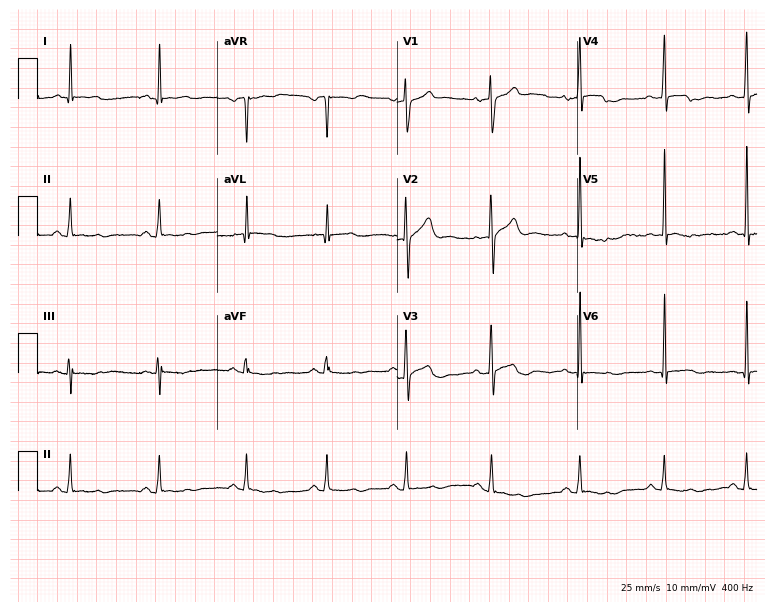
Resting 12-lead electrocardiogram (7.3-second recording at 400 Hz). Patient: a 39-year-old male. None of these six findings is recorded: first-degree AV block, right bundle branch block, left bundle branch block, sinus bradycardia, atrial fibrillation, sinus tachycardia. Other findings, if any, are not listed.